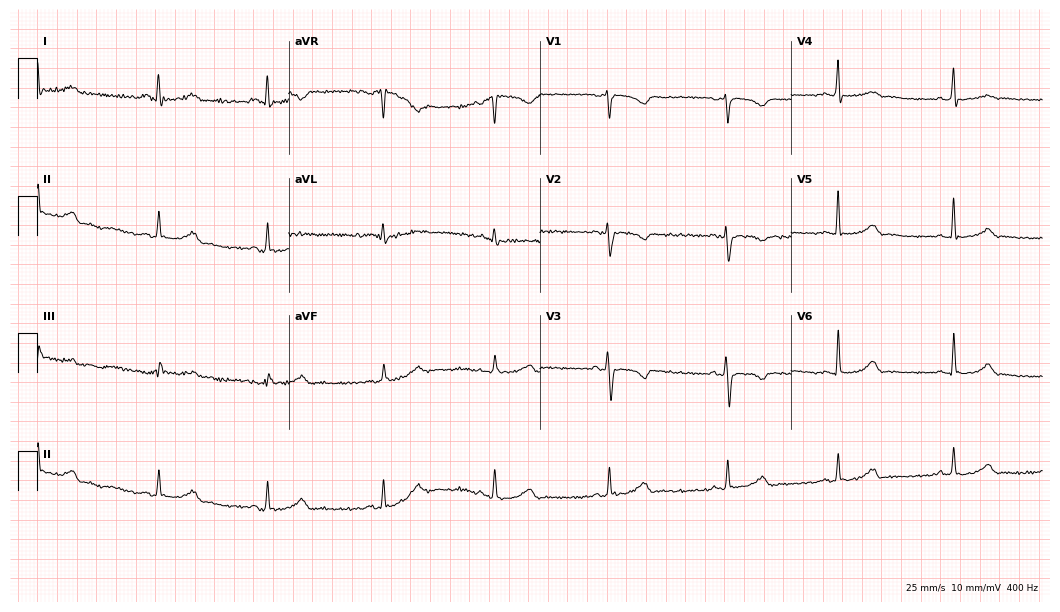
ECG (10.2-second recording at 400 Hz) — a woman, 27 years old. Screened for six findings — first-degree AV block, right bundle branch block, left bundle branch block, sinus bradycardia, atrial fibrillation, sinus tachycardia — none is recorded.